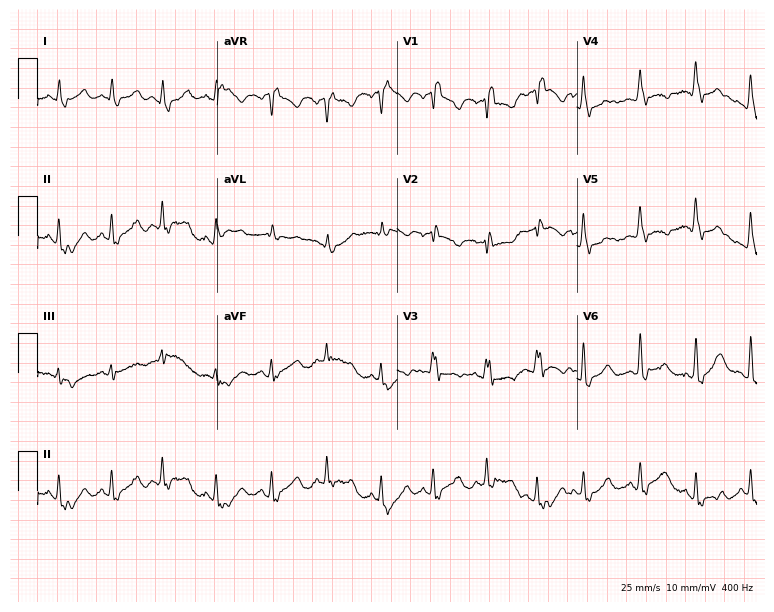
Standard 12-lead ECG recorded from a 42-year-old woman (7.3-second recording at 400 Hz). None of these six findings is recorded: first-degree AV block, right bundle branch block, left bundle branch block, sinus bradycardia, atrial fibrillation, sinus tachycardia. Other findings, if any, are not listed.